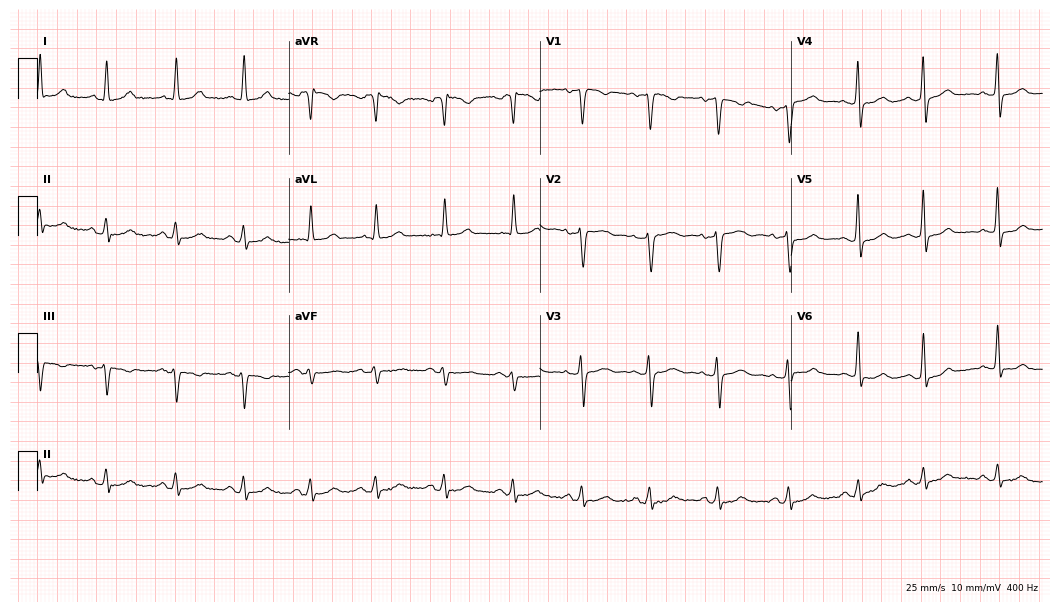
Electrocardiogram, a female patient, 67 years old. Overall reading on record: normal ECG.